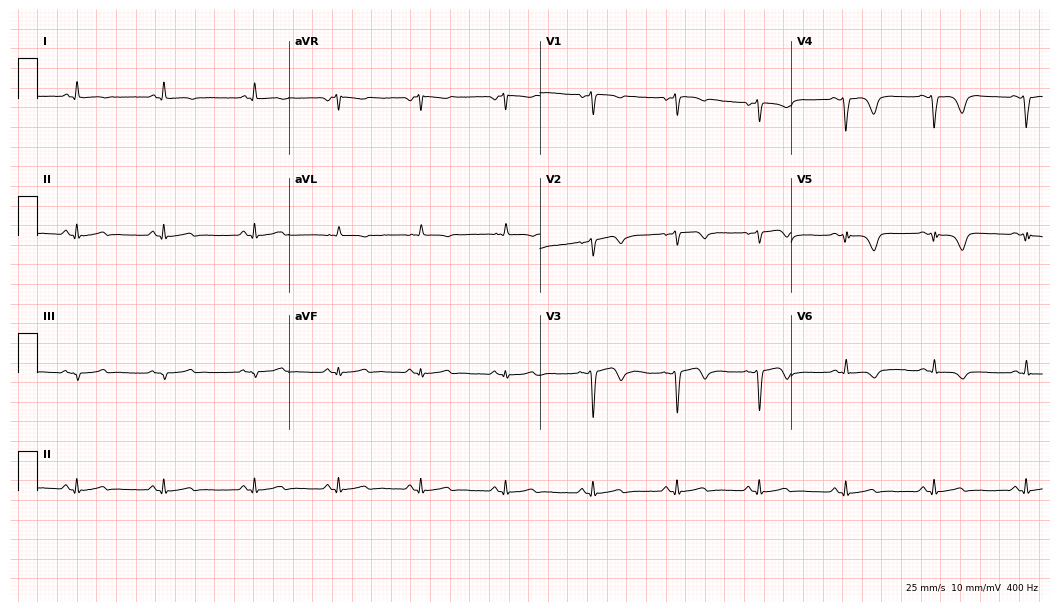
12-lead ECG from a 38-year-old female patient. Screened for six findings — first-degree AV block, right bundle branch block, left bundle branch block, sinus bradycardia, atrial fibrillation, sinus tachycardia — none is recorded. Findings outside these six are not listed.